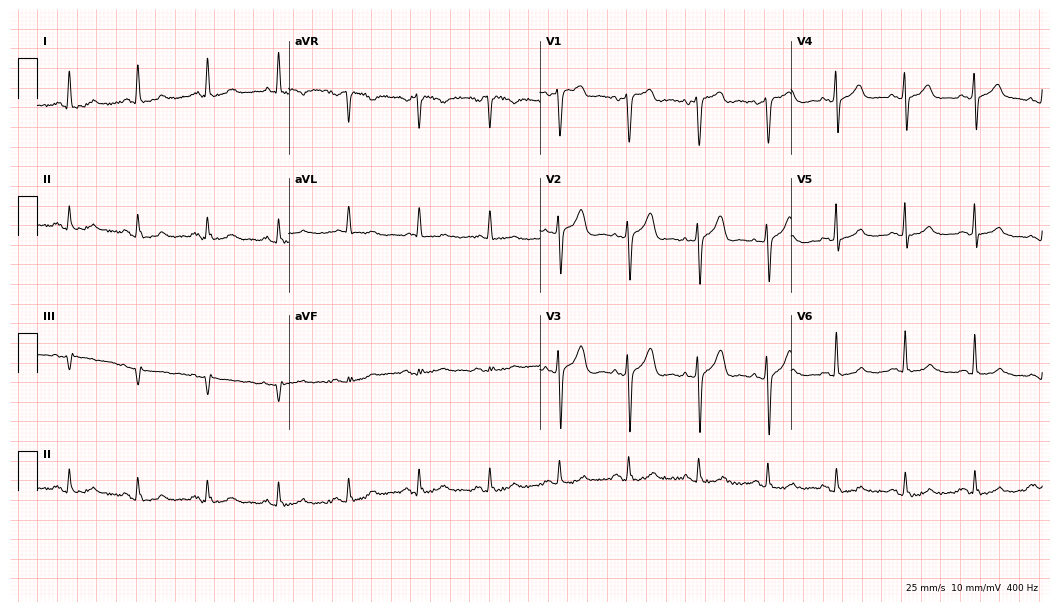
Resting 12-lead electrocardiogram (10.2-second recording at 400 Hz). Patient: a 73-year-old man. None of these six findings is recorded: first-degree AV block, right bundle branch block, left bundle branch block, sinus bradycardia, atrial fibrillation, sinus tachycardia. Findings outside these six are not listed.